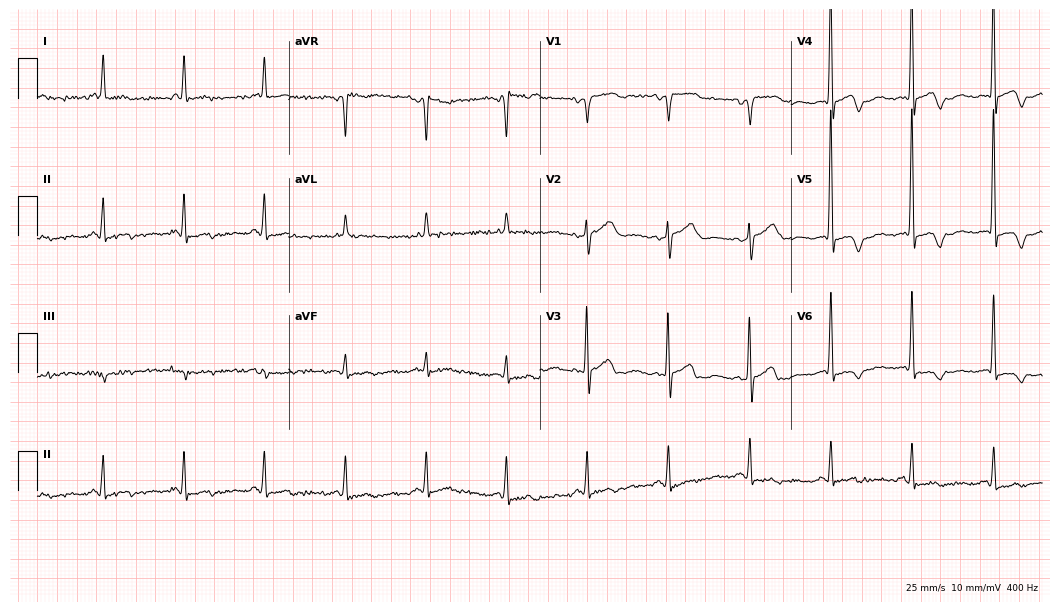
Electrocardiogram, a female patient, 79 years old. Of the six screened findings (first-degree AV block, right bundle branch block, left bundle branch block, sinus bradycardia, atrial fibrillation, sinus tachycardia), none is recorded.